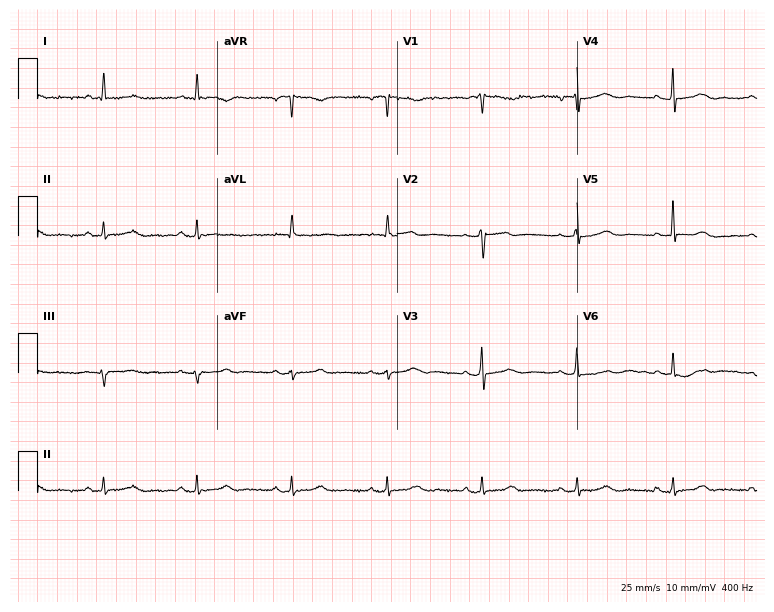
Electrocardiogram, a female patient, 72 years old. Of the six screened findings (first-degree AV block, right bundle branch block, left bundle branch block, sinus bradycardia, atrial fibrillation, sinus tachycardia), none is recorded. Other findings, if any, are not listed.